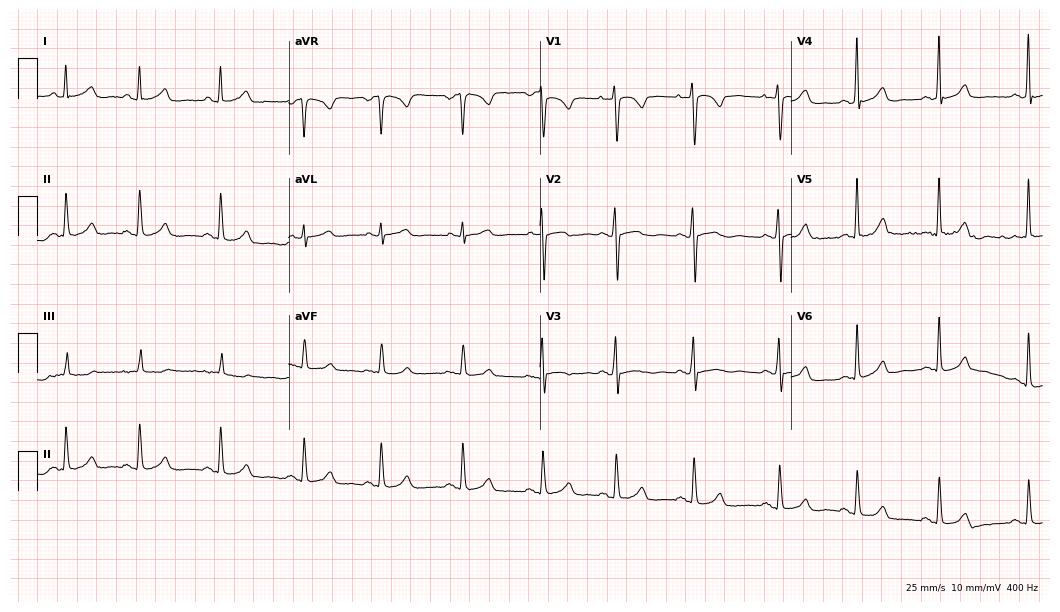
12-lead ECG from a 24-year-old woman. Labelled as a normal ECG.